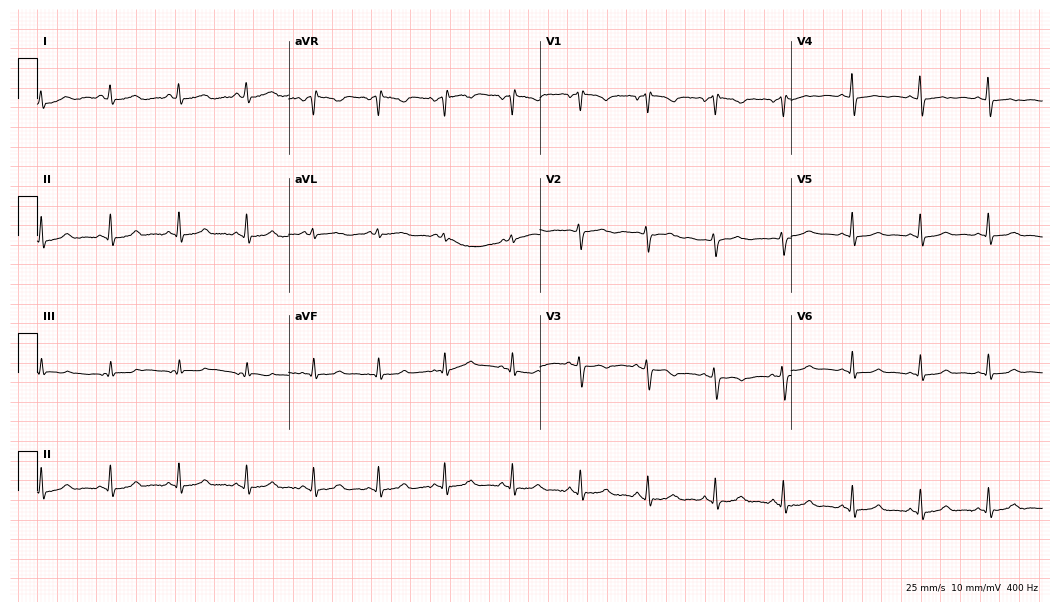
Resting 12-lead electrocardiogram (10.2-second recording at 400 Hz). Patient: a female, 48 years old. Read as a normal ECG.